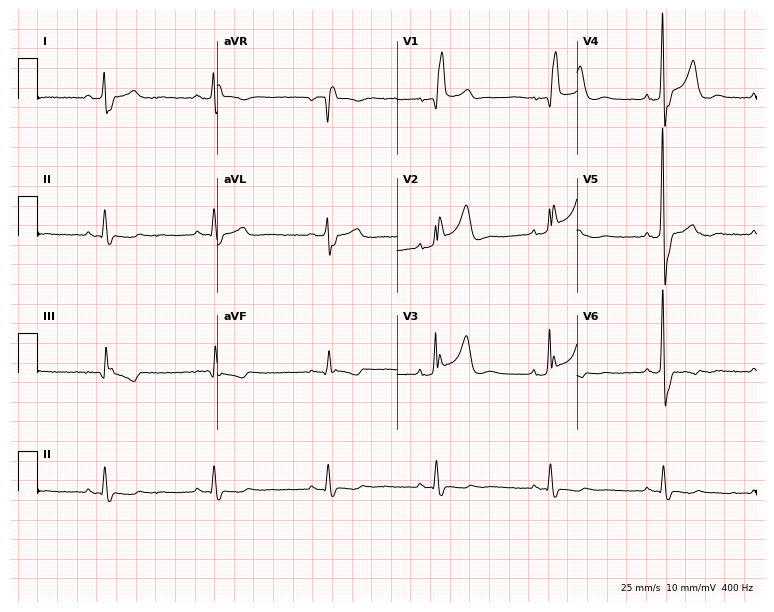
ECG — a 78-year-old male. Findings include right bundle branch block (RBBB).